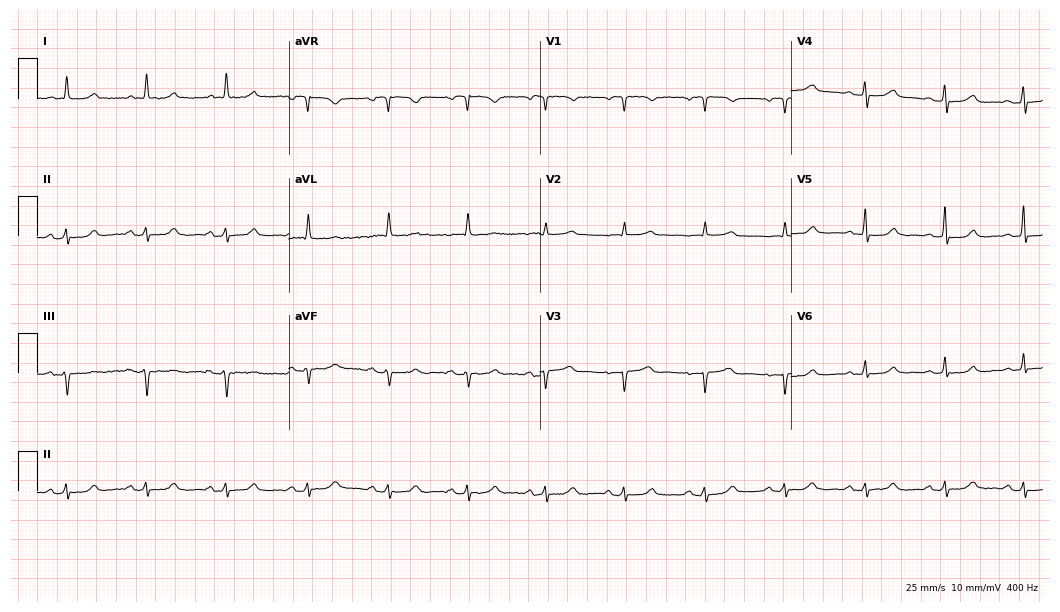
Standard 12-lead ECG recorded from a female, 72 years old (10.2-second recording at 400 Hz). Read as a normal ECG.